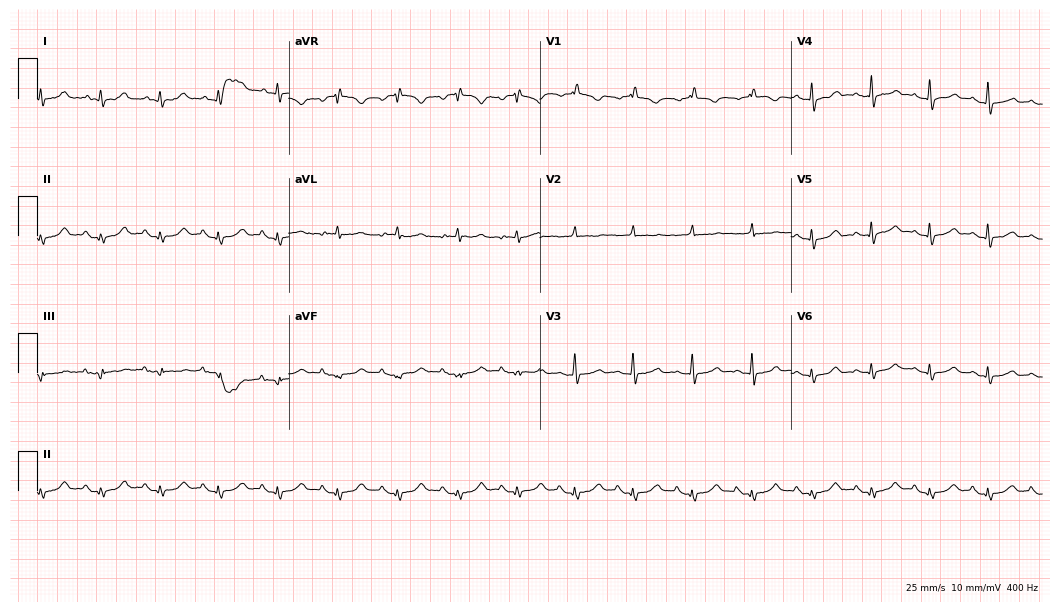
12-lead ECG from a female, 79 years old. Screened for six findings — first-degree AV block, right bundle branch block, left bundle branch block, sinus bradycardia, atrial fibrillation, sinus tachycardia — none is recorded.